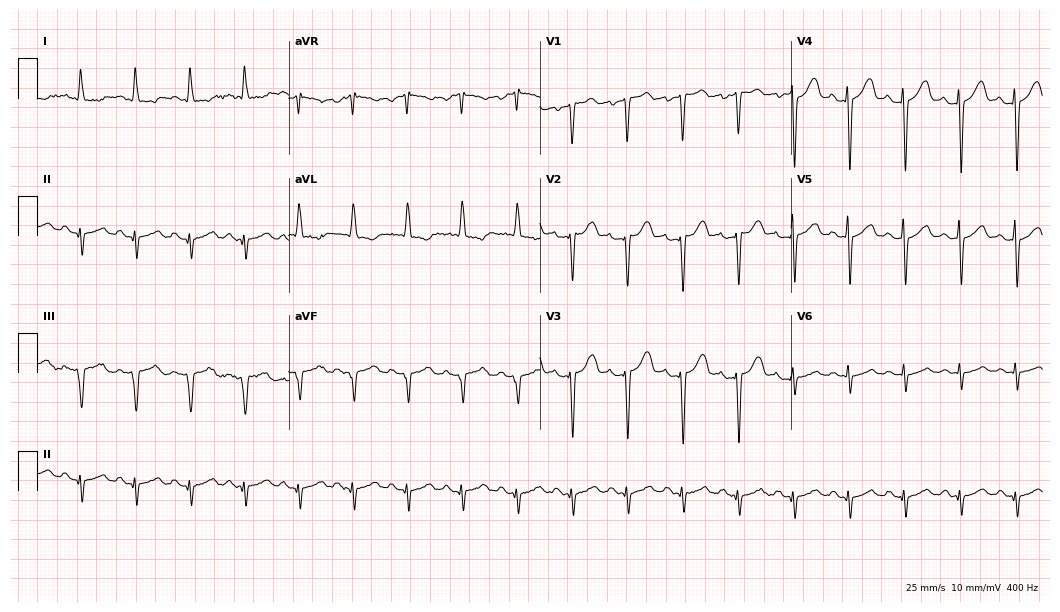
Resting 12-lead electrocardiogram (10.2-second recording at 400 Hz). Patient: a 46-year-old woman. The tracing shows sinus tachycardia (a sinus rate of 100 beats per minute or more).